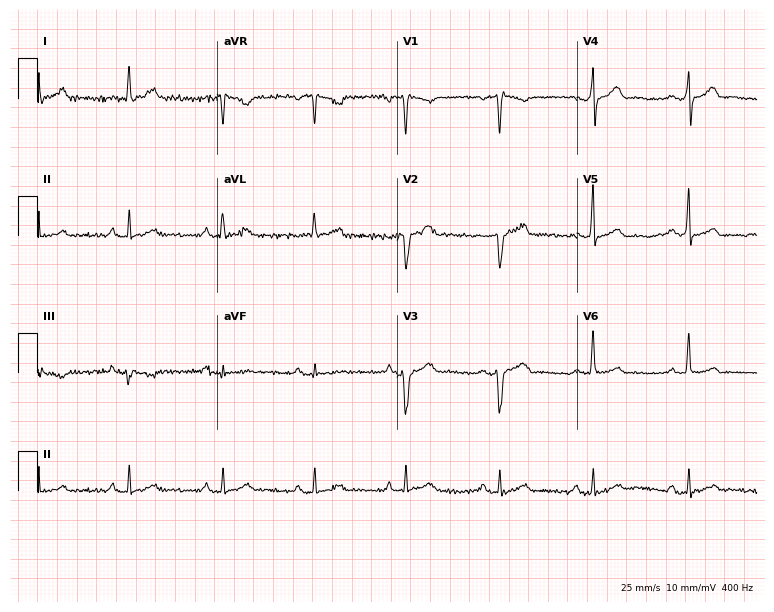
12-lead ECG (7.3-second recording at 400 Hz) from a 45-year-old man. Screened for six findings — first-degree AV block, right bundle branch block, left bundle branch block, sinus bradycardia, atrial fibrillation, sinus tachycardia — none is recorded. Other findings, if any, are not listed.